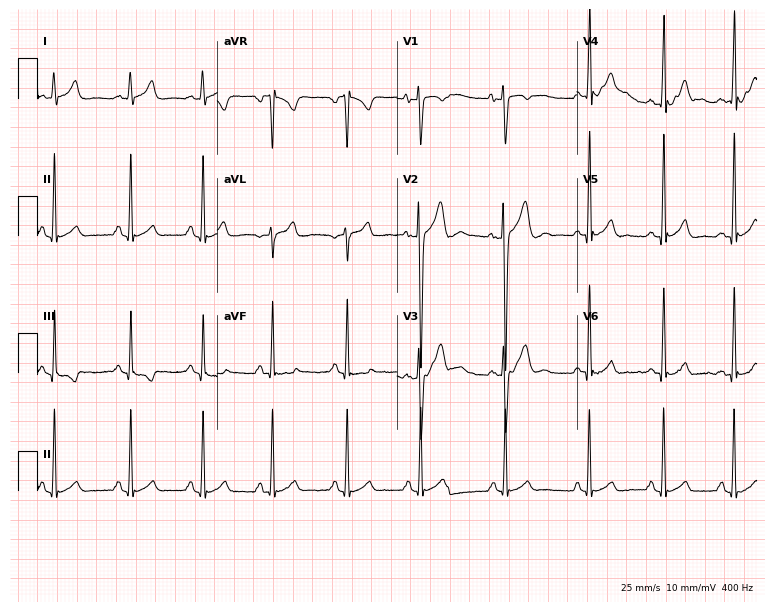
Resting 12-lead electrocardiogram. Patient: a female, 18 years old. None of these six findings is recorded: first-degree AV block, right bundle branch block (RBBB), left bundle branch block (LBBB), sinus bradycardia, atrial fibrillation (AF), sinus tachycardia. Other findings, if any, are not listed.